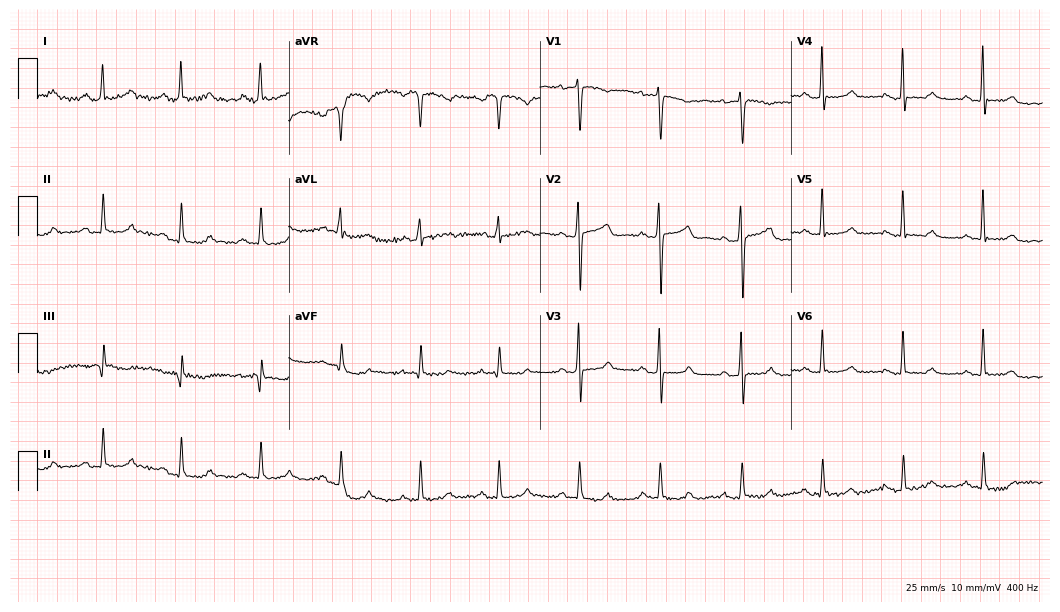
Standard 12-lead ECG recorded from a 67-year-old woman (10.2-second recording at 400 Hz). Read as a normal ECG.